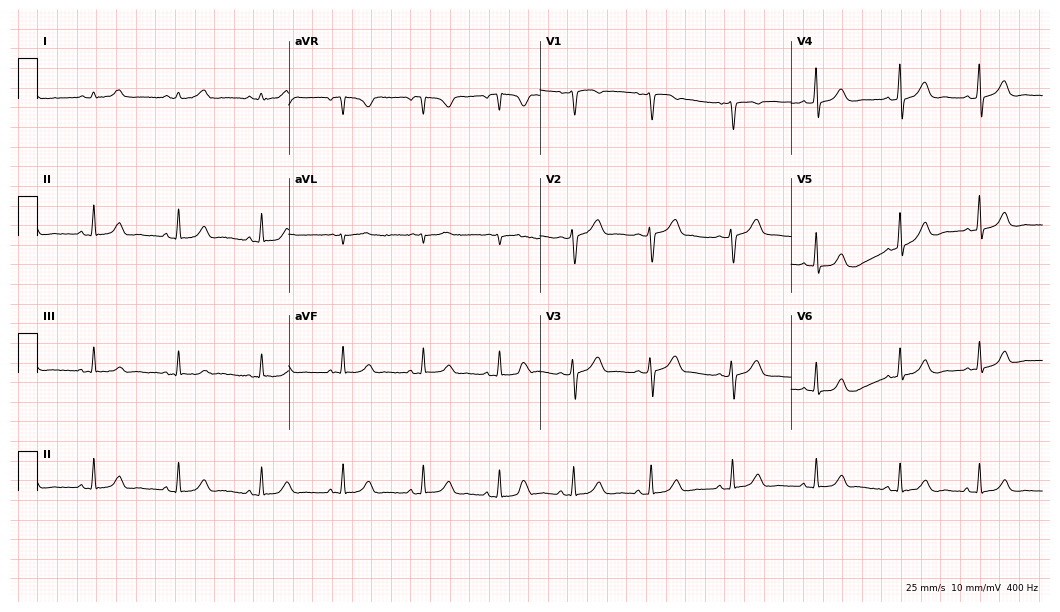
Standard 12-lead ECG recorded from a 45-year-old female patient. None of these six findings is recorded: first-degree AV block, right bundle branch block, left bundle branch block, sinus bradycardia, atrial fibrillation, sinus tachycardia. Only these six findings were labelled.